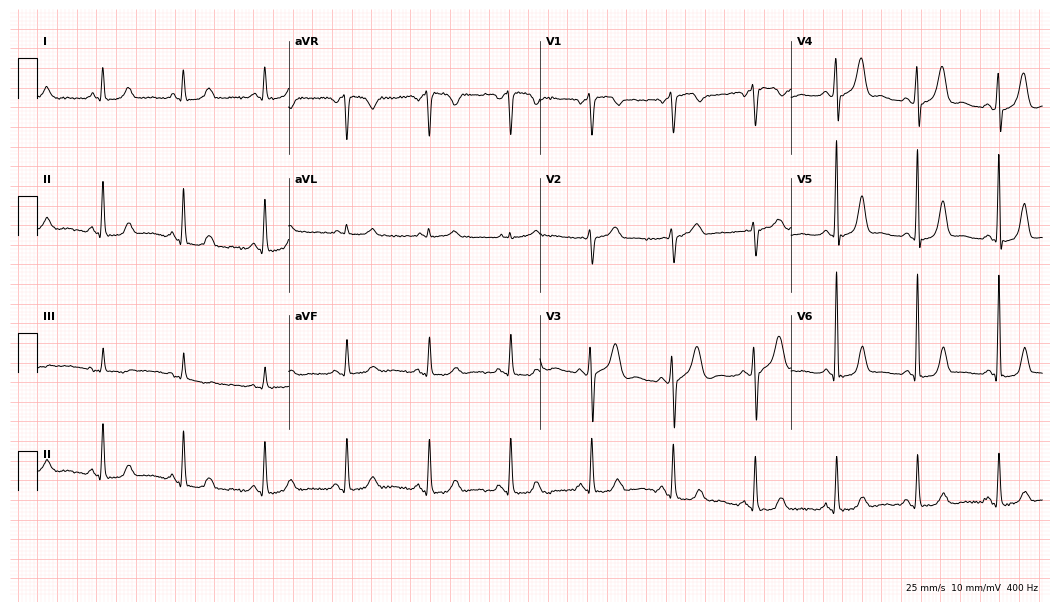
ECG — a woman, 57 years old. Screened for six findings — first-degree AV block, right bundle branch block (RBBB), left bundle branch block (LBBB), sinus bradycardia, atrial fibrillation (AF), sinus tachycardia — none is recorded.